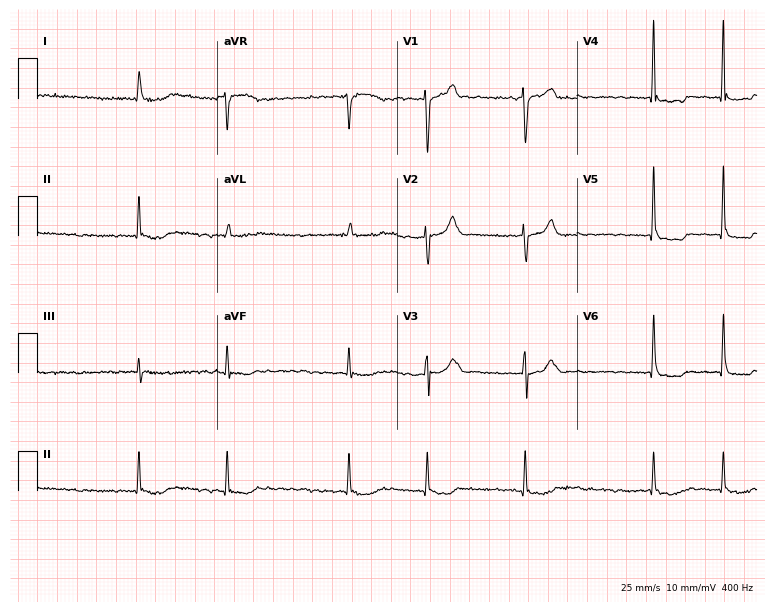
12-lead ECG from a 68-year-old female patient. Shows atrial fibrillation.